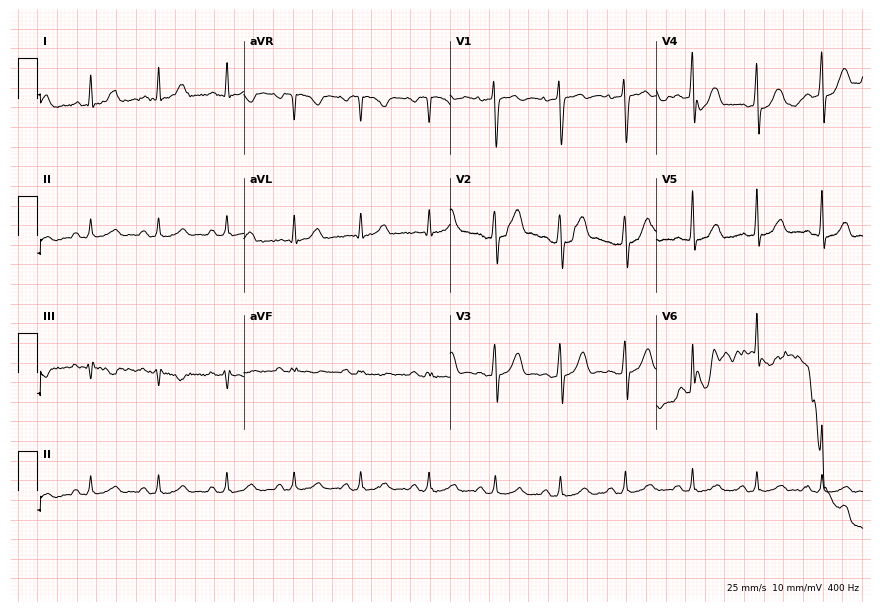
Resting 12-lead electrocardiogram. Patient: a 32-year-old male. Read as a normal ECG.